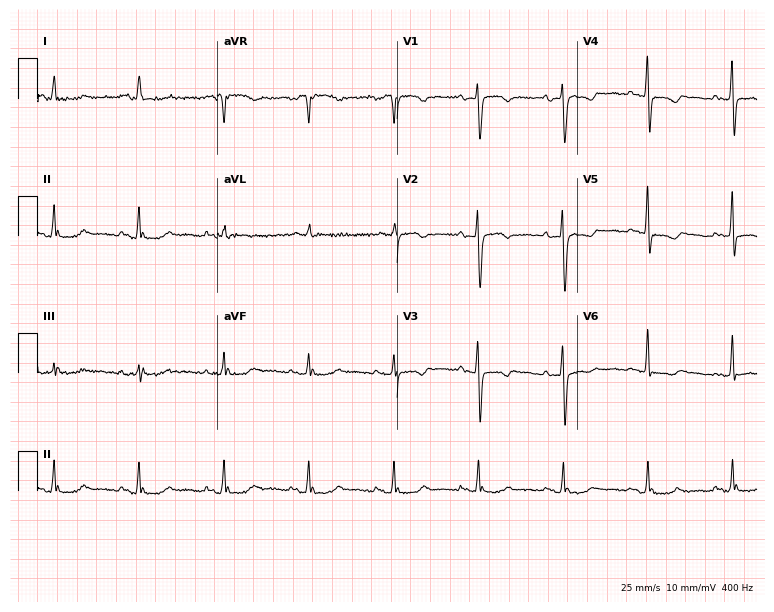
ECG (7.3-second recording at 400 Hz) — a 67-year-old woman. Screened for six findings — first-degree AV block, right bundle branch block, left bundle branch block, sinus bradycardia, atrial fibrillation, sinus tachycardia — none is recorded. Only these six findings were labelled.